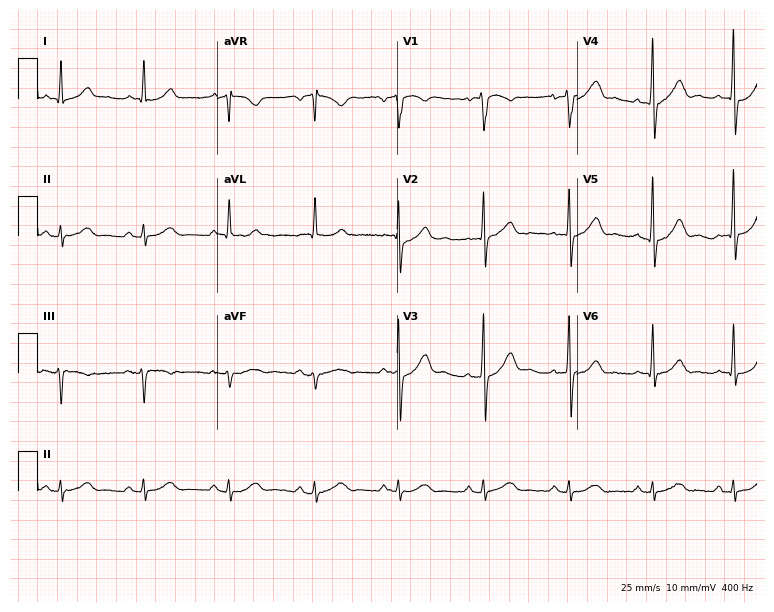
12-lead ECG (7.3-second recording at 400 Hz) from a 61-year-old male. Screened for six findings — first-degree AV block, right bundle branch block (RBBB), left bundle branch block (LBBB), sinus bradycardia, atrial fibrillation (AF), sinus tachycardia — none is recorded. Findings outside these six are not listed.